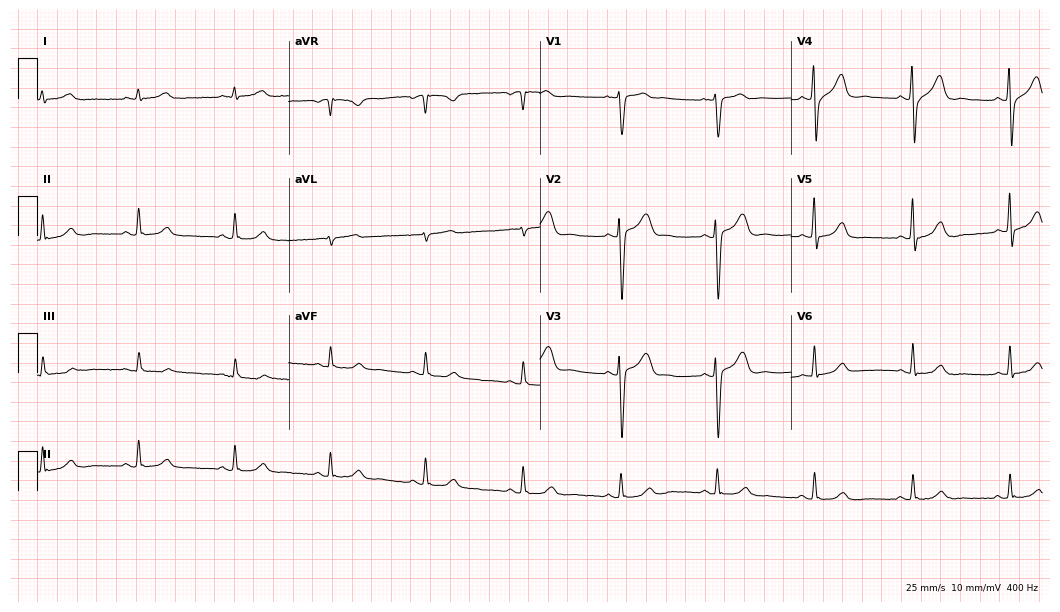
Resting 12-lead electrocardiogram (10.2-second recording at 400 Hz). Patient: a male, 55 years old. Read as a normal ECG.